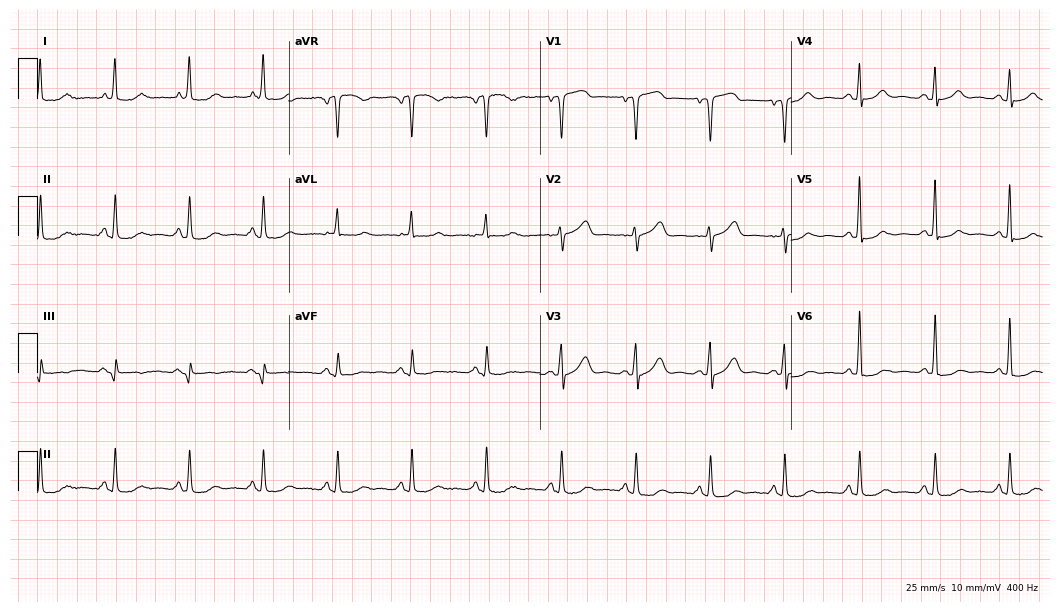
12-lead ECG from a 71-year-old female patient. No first-degree AV block, right bundle branch block, left bundle branch block, sinus bradycardia, atrial fibrillation or sinus tachycardia recorded for this tracing. Findings outside these six are not listed.